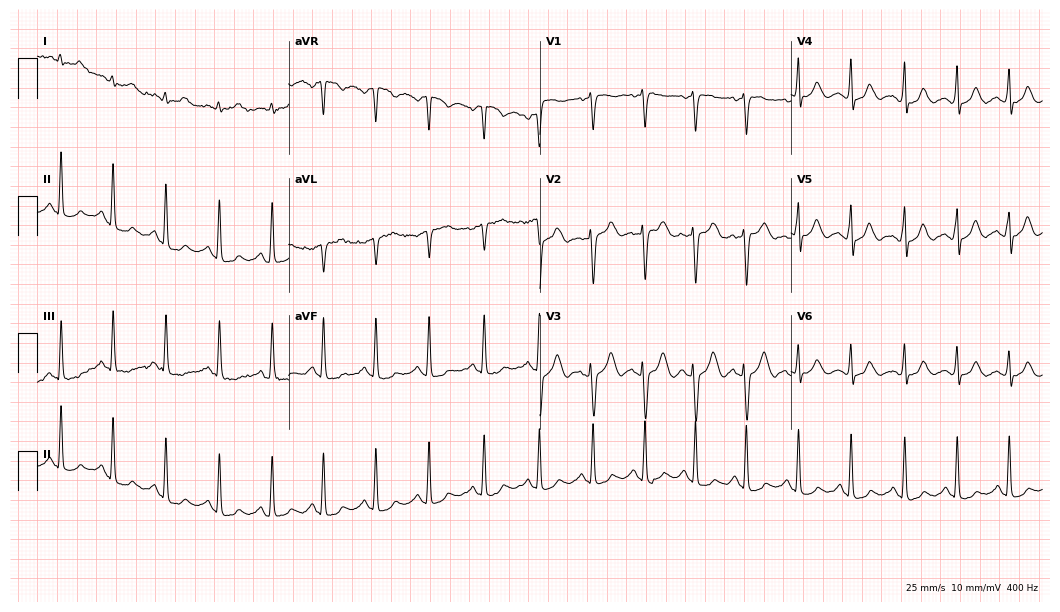
12-lead ECG from a female patient, 26 years old (10.2-second recording at 400 Hz). Shows sinus tachycardia (a sinus rate of 100 beats per minute or more).